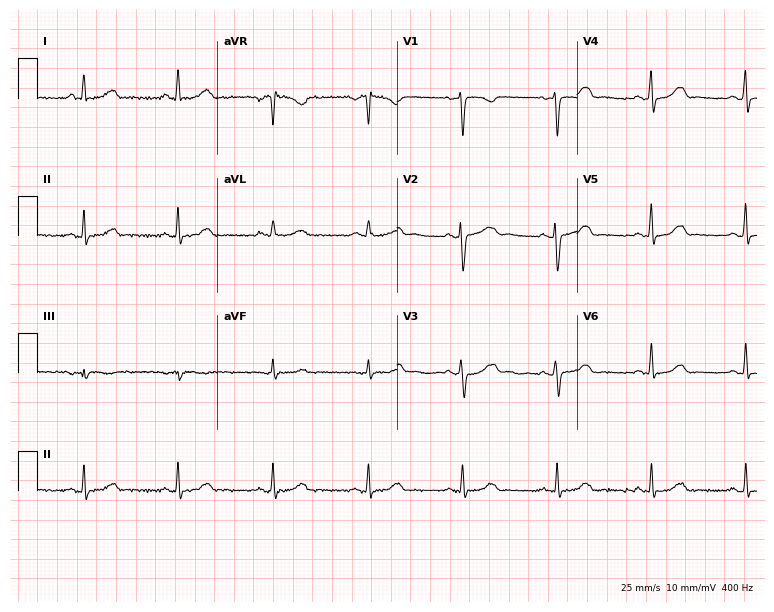
Standard 12-lead ECG recorded from a woman, 44 years old. Read as a normal ECG.